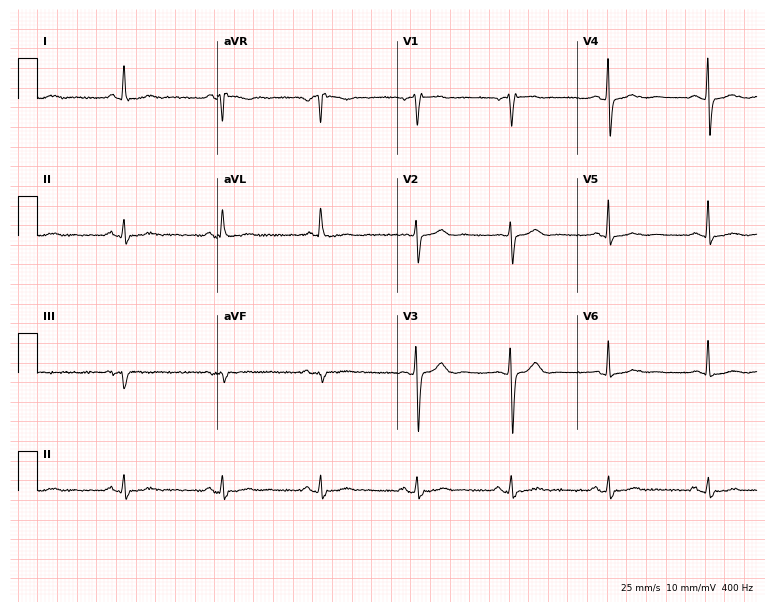
Resting 12-lead electrocardiogram (7.3-second recording at 400 Hz). Patient: a 61-year-old male. Read as a normal ECG.